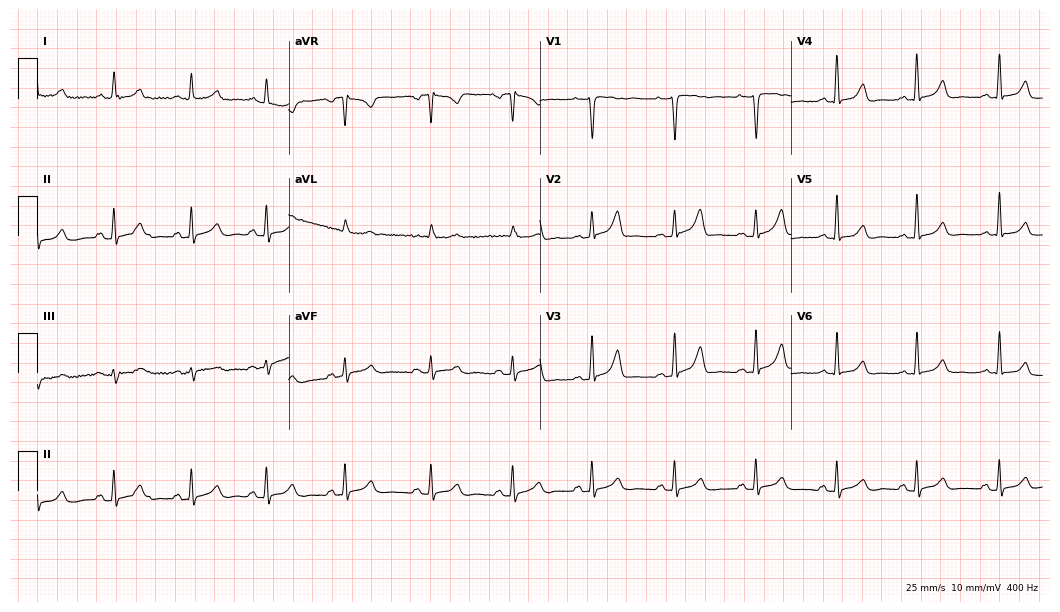
Electrocardiogram, a female, 50 years old. Overall reading on record: normal ECG.